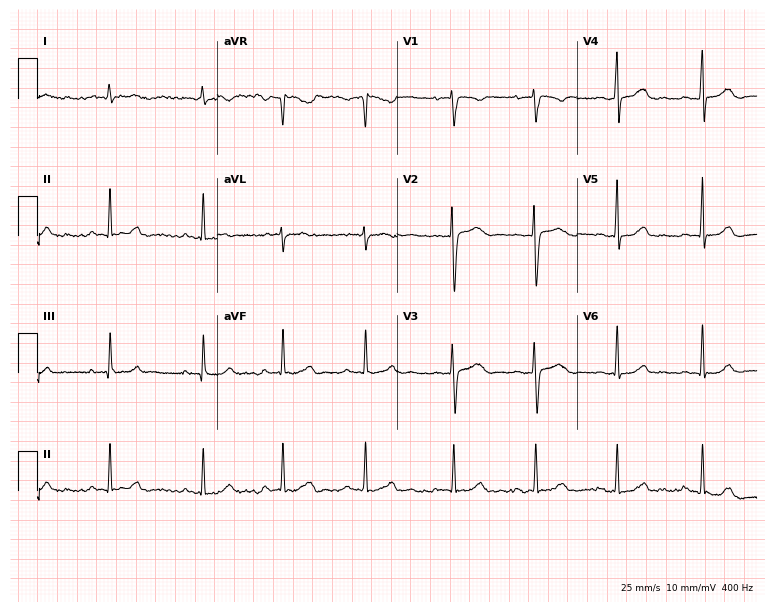
12-lead ECG from a man, 26 years old (7.3-second recording at 400 Hz). Recorded interpretation: within normal limits.